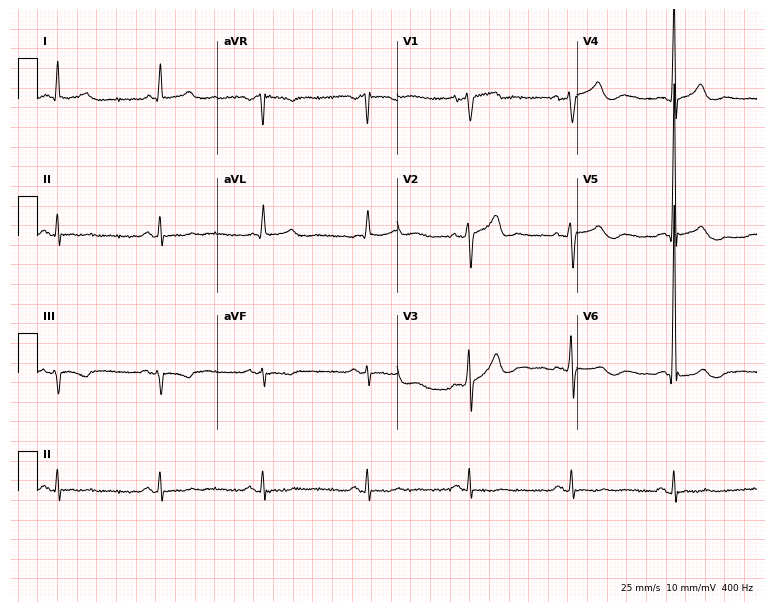
Standard 12-lead ECG recorded from a female patient, 71 years old (7.3-second recording at 400 Hz). None of these six findings is recorded: first-degree AV block, right bundle branch block, left bundle branch block, sinus bradycardia, atrial fibrillation, sinus tachycardia. Other findings, if any, are not listed.